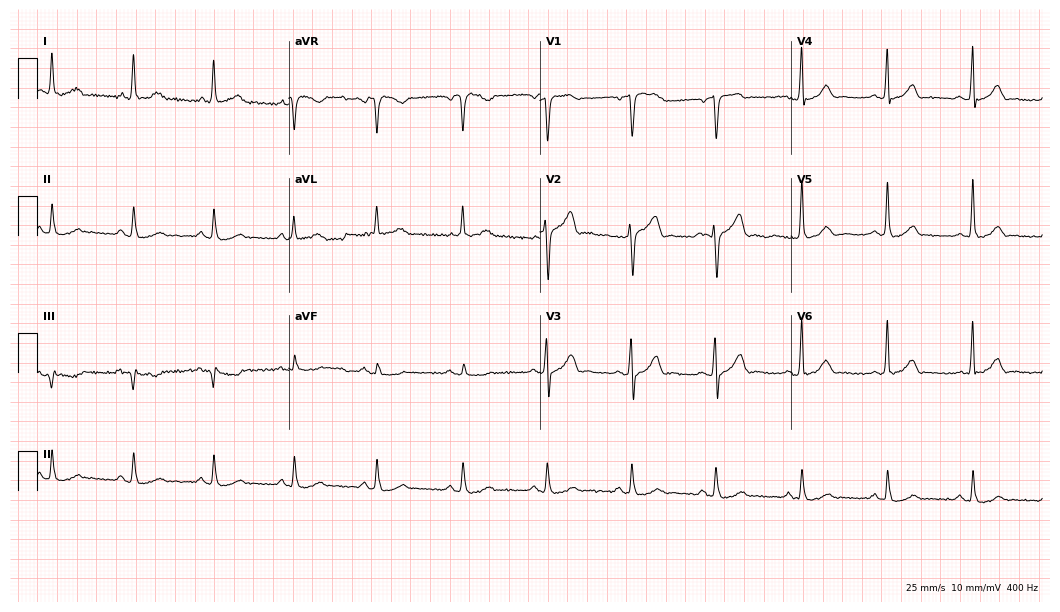
12-lead ECG (10.2-second recording at 400 Hz) from a 44-year-old man. Labelled as a normal ECG.